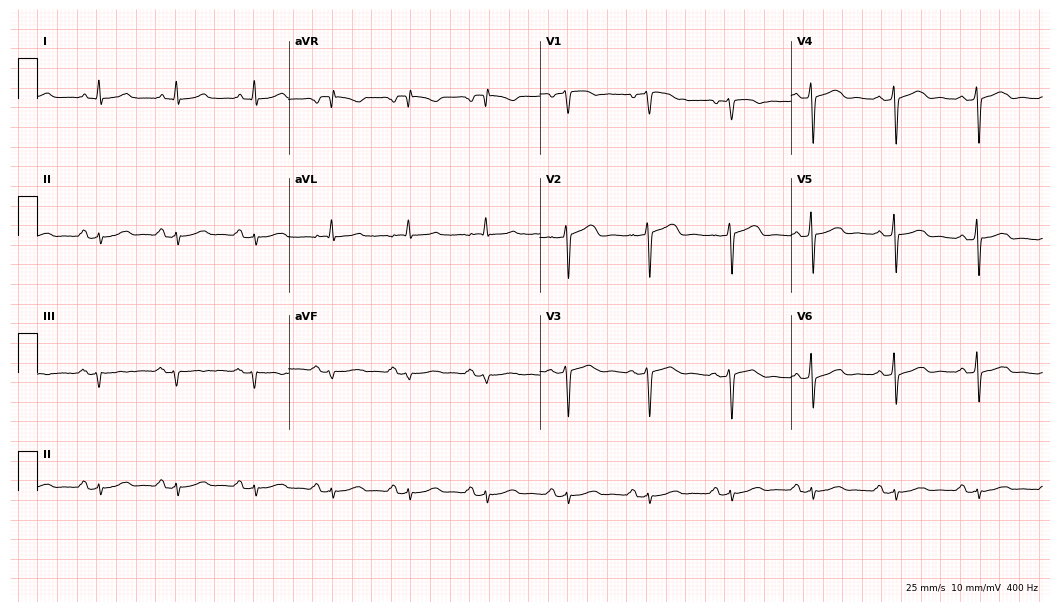
Resting 12-lead electrocardiogram. Patient: a female, 49 years old. None of these six findings is recorded: first-degree AV block, right bundle branch block, left bundle branch block, sinus bradycardia, atrial fibrillation, sinus tachycardia.